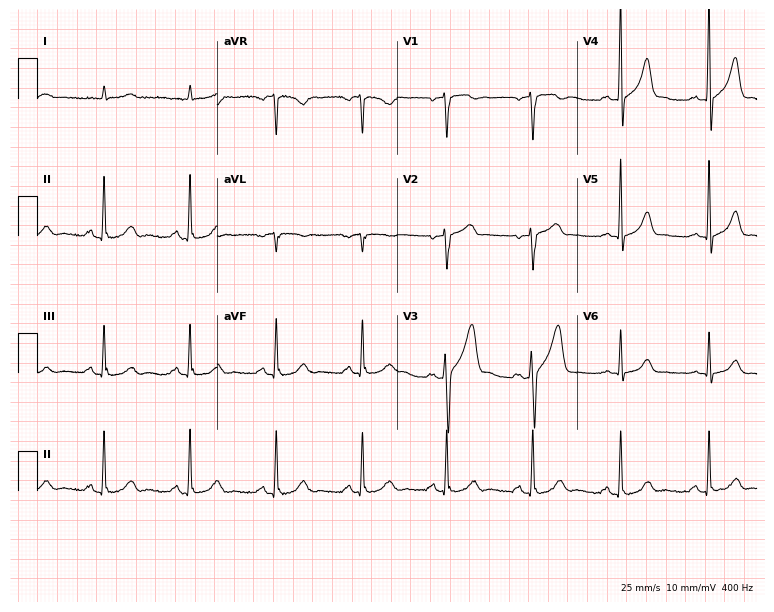
12-lead ECG from a man, 58 years old. Labelled as a normal ECG.